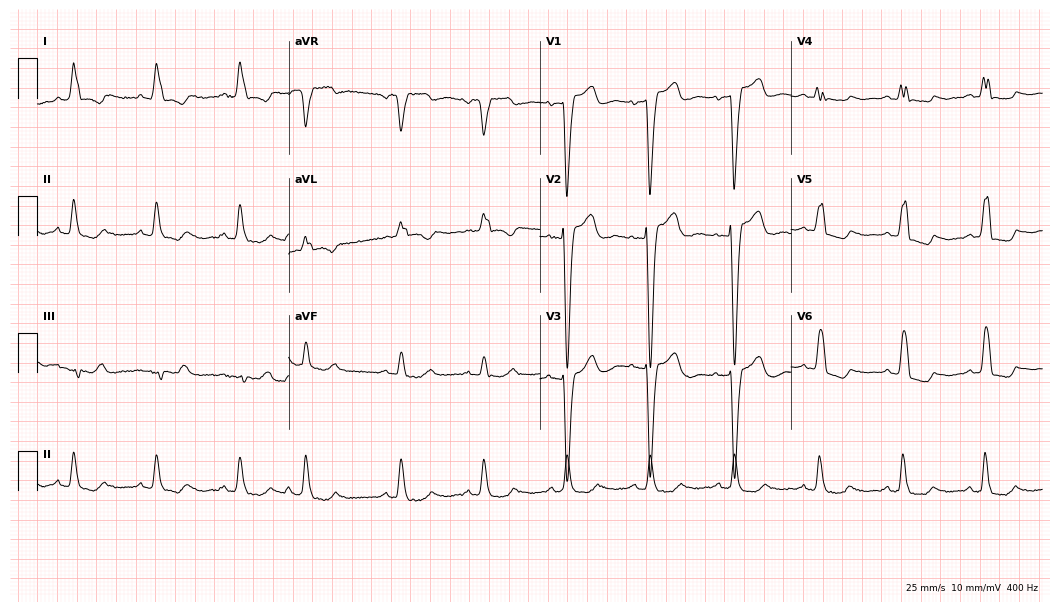
ECG (10.2-second recording at 400 Hz) — a 75-year-old female. Findings include left bundle branch block (LBBB).